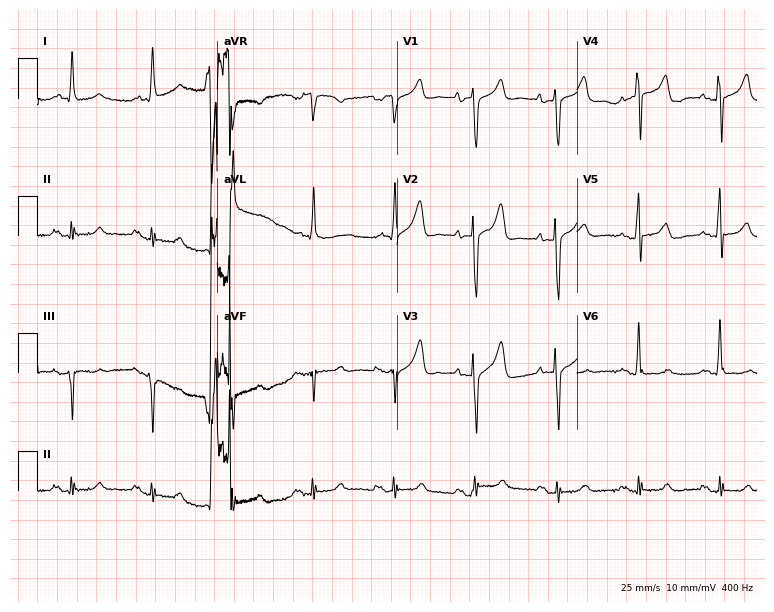
Standard 12-lead ECG recorded from a man, 62 years old (7.3-second recording at 400 Hz). Read as a normal ECG.